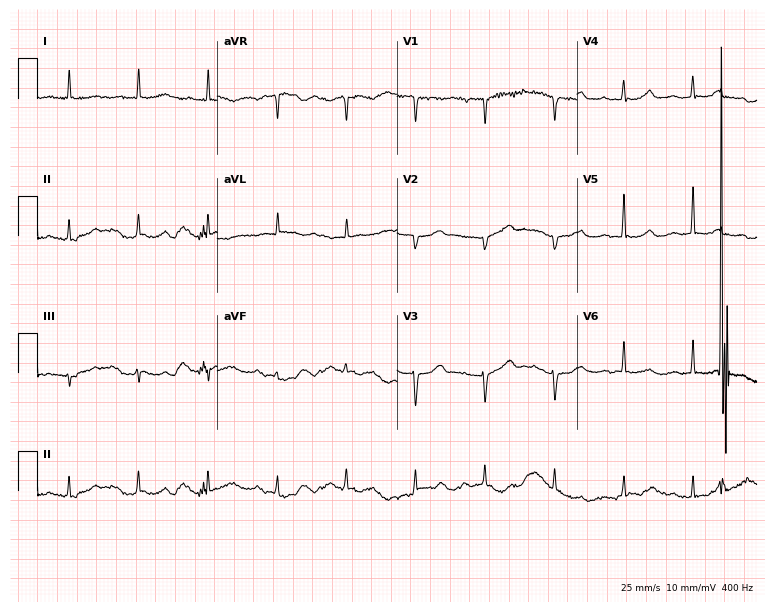
12-lead ECG from an 81-year-old female patient (7.3-second recording at 400 Hz). No first-degree AV block, right bundle branch block, left bundle branch block, sinus bradycardia, atrial fibrillation or sinus tachycardia recorded for this tracing.